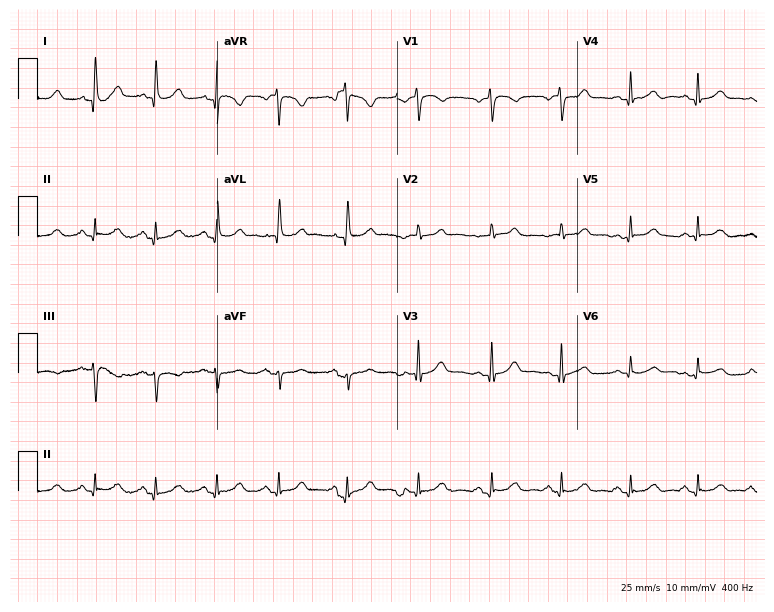
12-lead ECG from a woman, 79 years old. Labelled as a normal ECG.